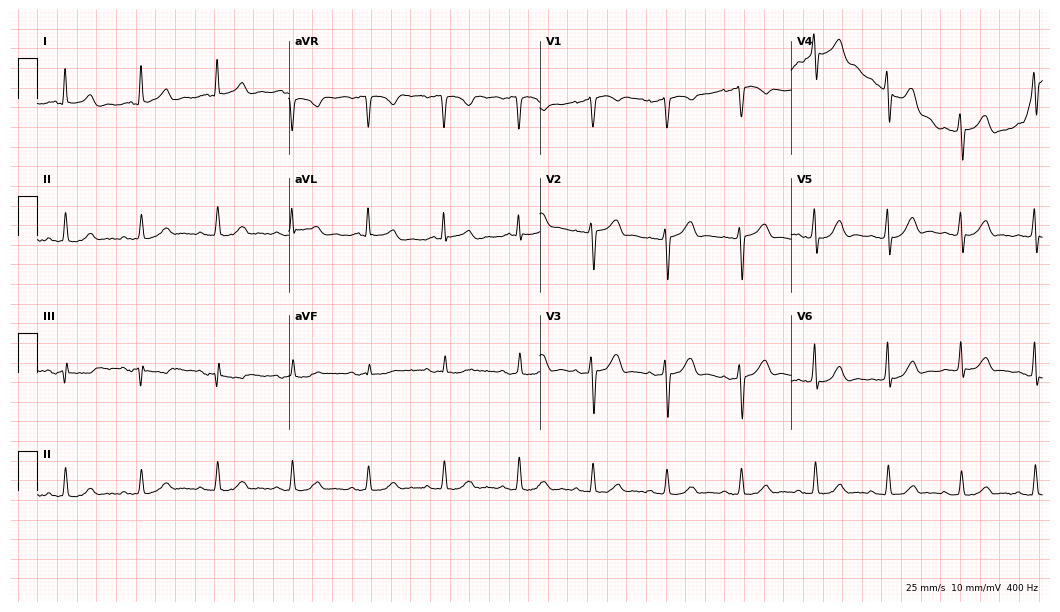
12-lead ECG (10.2-second recording at 400 Hz) from a 76-year-old male patient. Screened for six findings — first-degree AV block, right bundle branch block, left bundle branch block, sinus bradycardia, atrial fibrillation, sinus tachycardia — none is recorded.